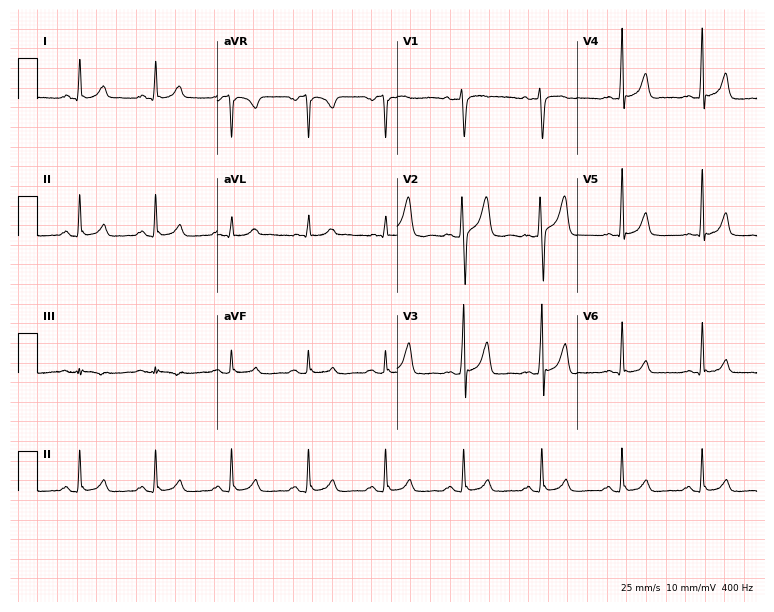
Electrocardiogram, a 37-year-old man. Overall reading on record: normal ECG.